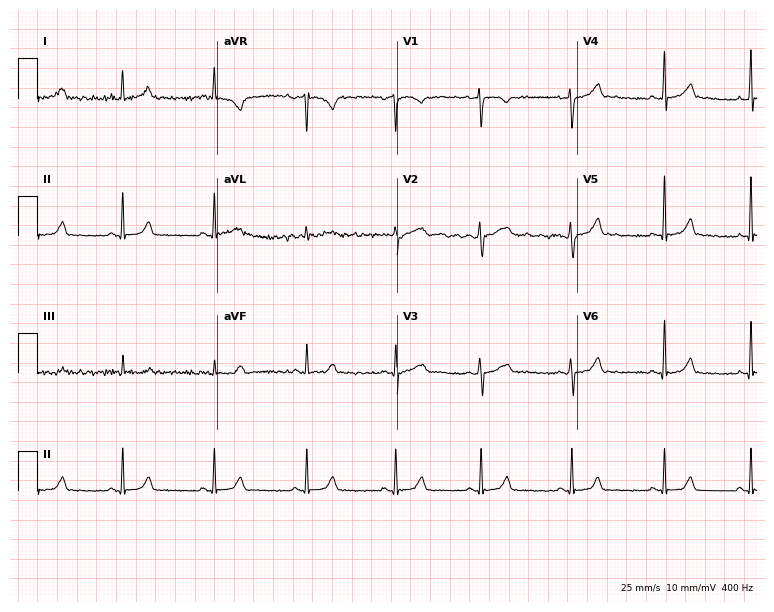
ECG — a woman, 29 years old. Labelled as a normal ECG.